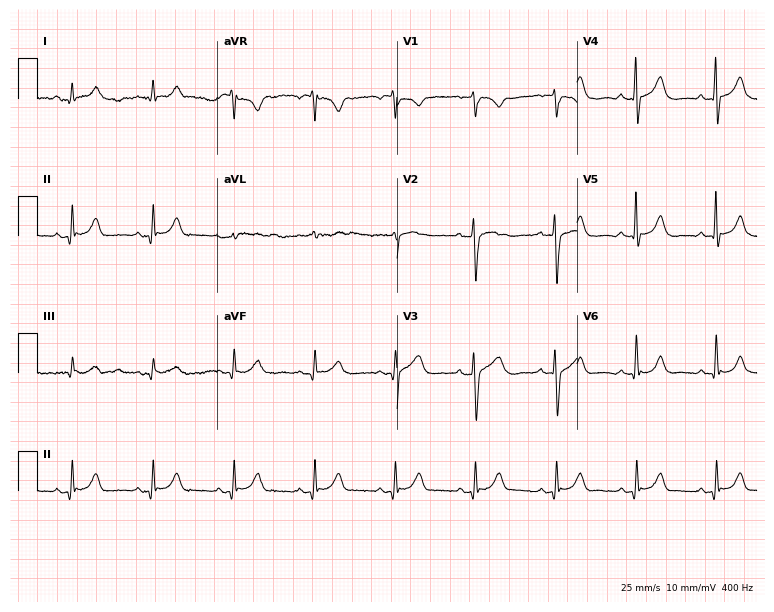
Resting 12-lead electrocardiogram. Patient: a 74-year-old male. None of these six findings is recorded: first-degree AV block, right bundle branch block, left bundle branch block, sinus bradycardia, atrial fibrillation, sinus tachycardia.